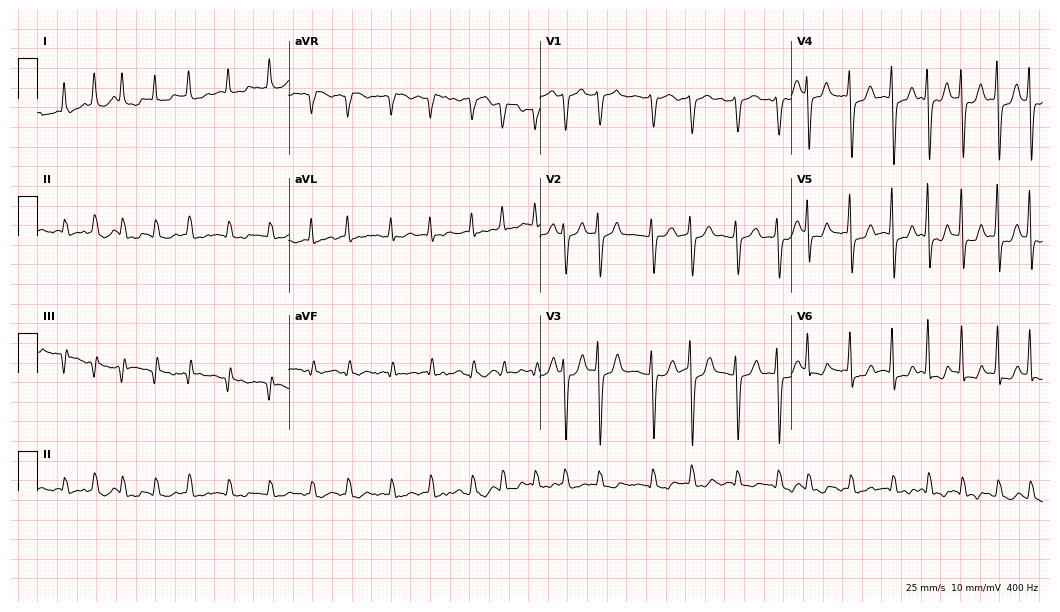
ECG — an 80-year-old male. Findings include atrial fibrillation.